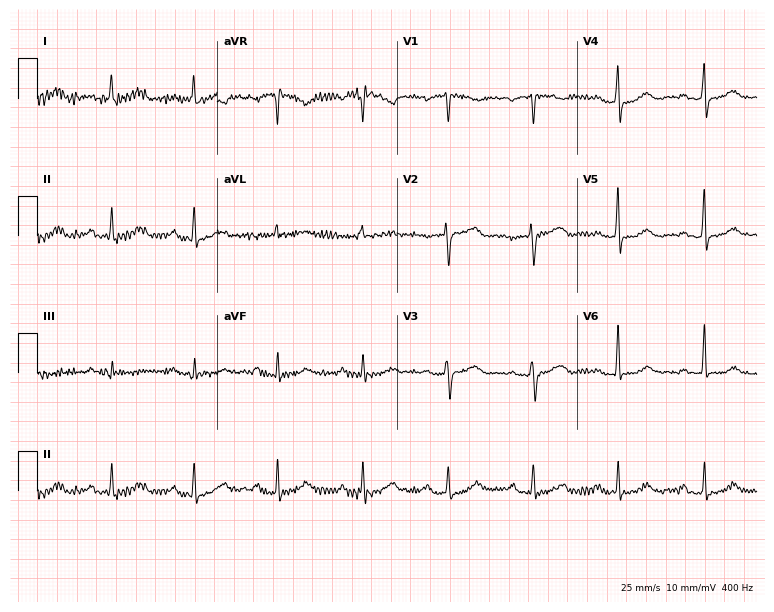
Standard 12-lead ECG recorded from a female patient, 57 years old (7.3-second recording at 400 Hz). Read as a normal ECG.